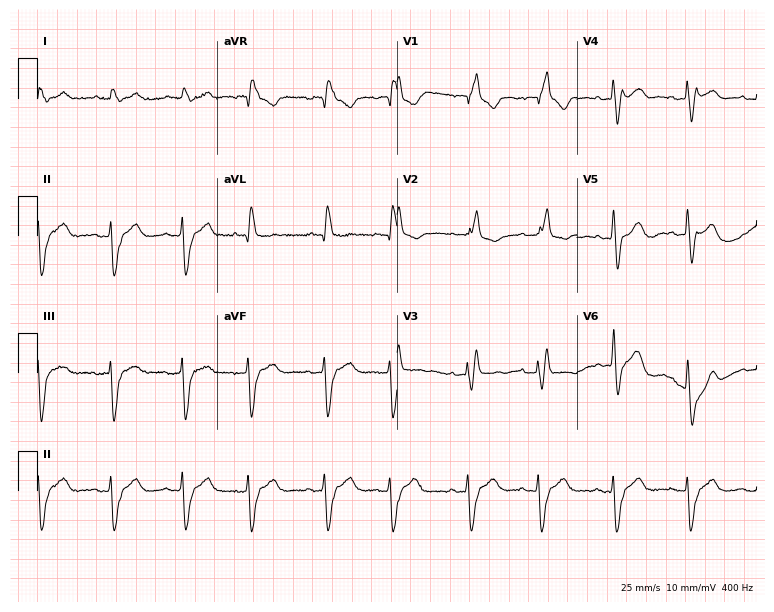
Standard 12-lead ECG recorded from a 73-year-old woman. The tracing shows right bundle branch block.